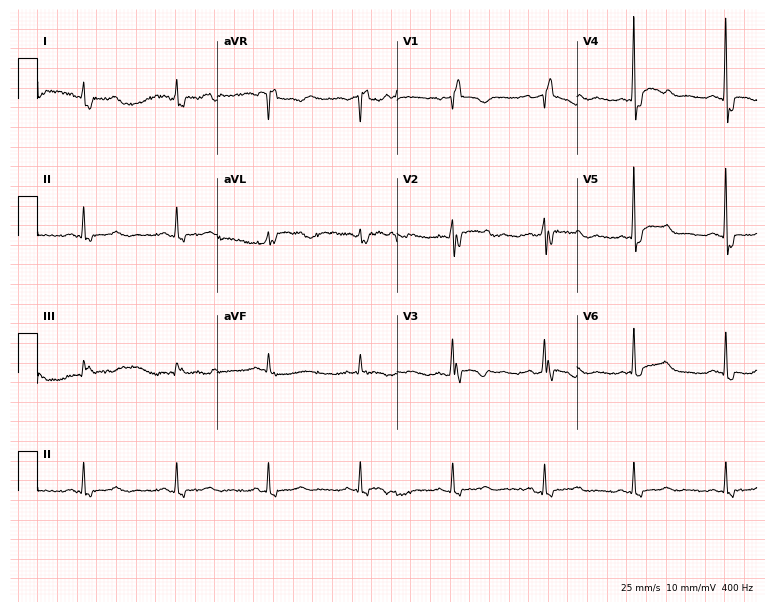
Standard 12-lead ECG recorded from a female patient, 67 years old. The tracing shows right bundle branch block.